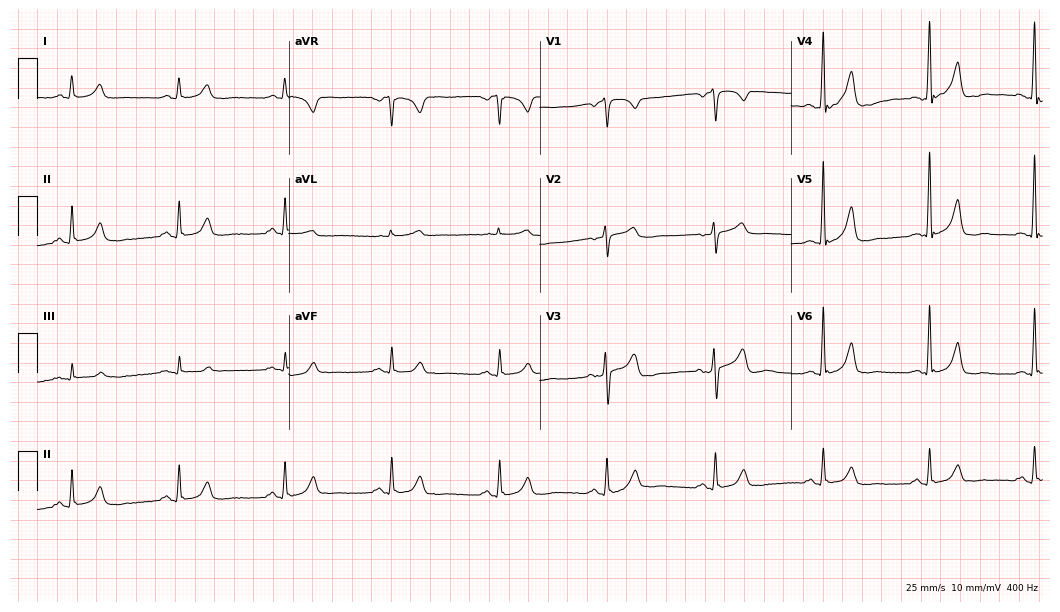
ECG (10.2-second recording at 400 Hz) — a 75-year-old man. Labelled as a normal ECG.